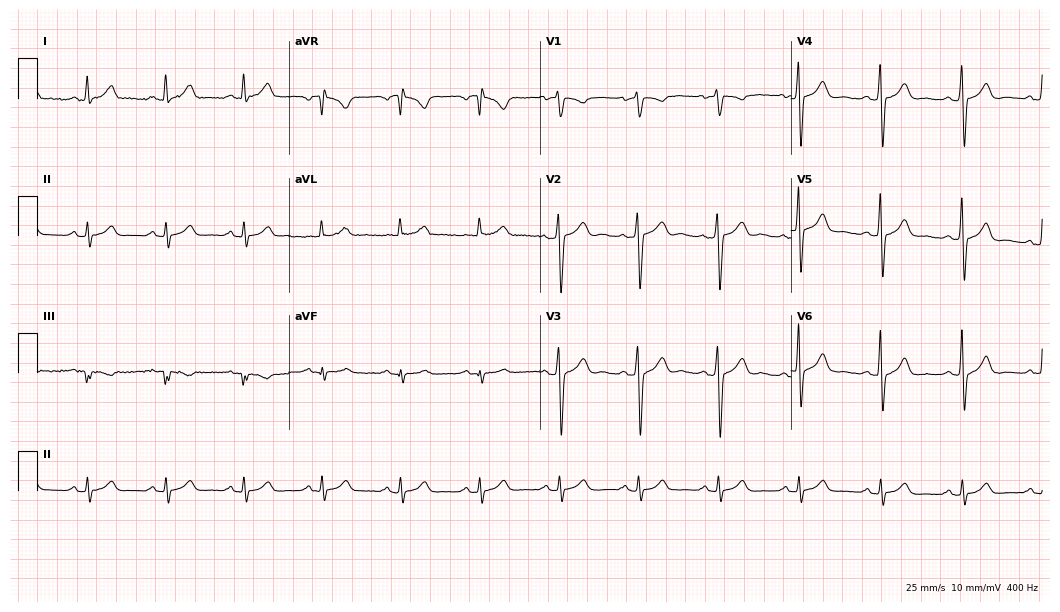
Standard 12-lead ECG recorded from a 50-year-old male. Read as a normal ECG.